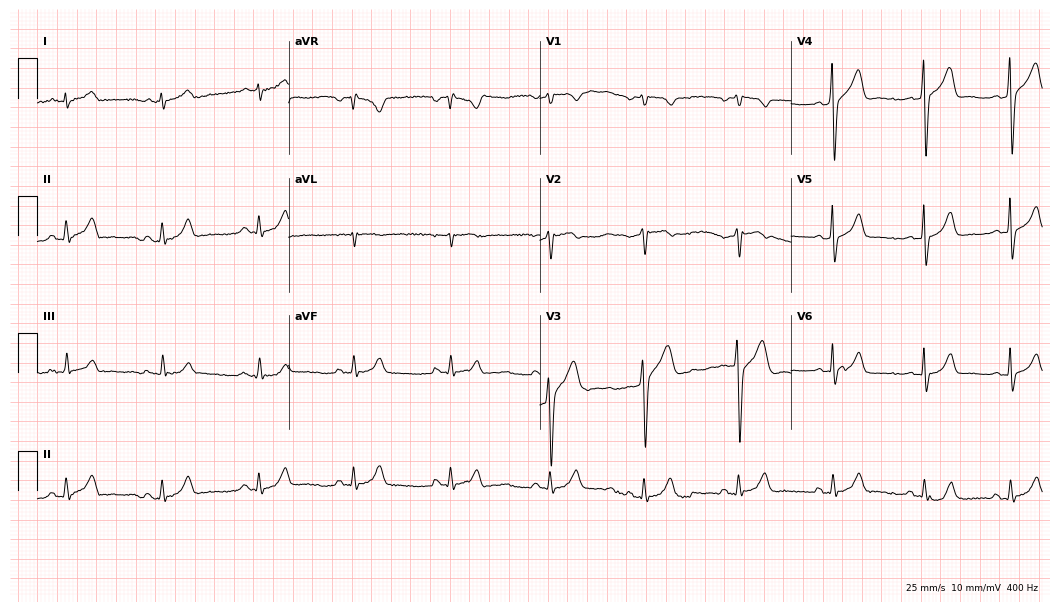
12-lead ECG from a male, 40 years old. Labelled as a normal ECG.